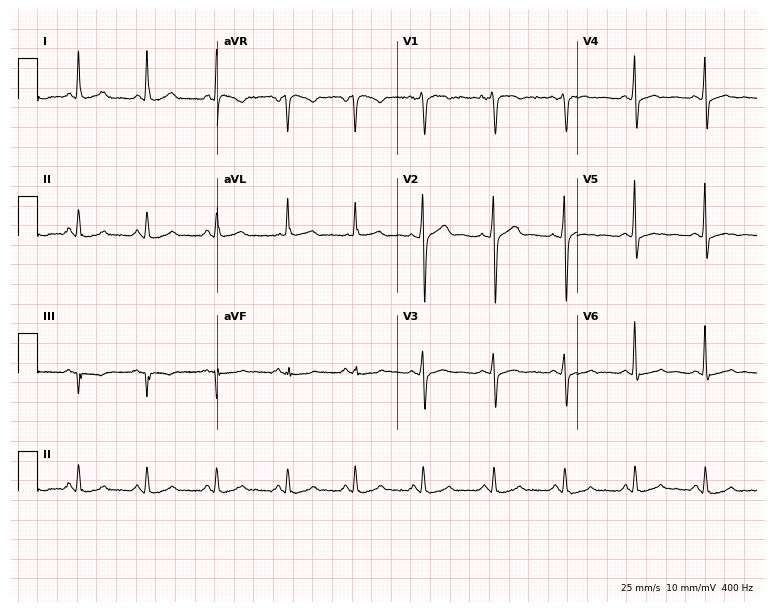
12-lead ECG from a 36-year-old male patient. Recorded interpretation: within normal limits.